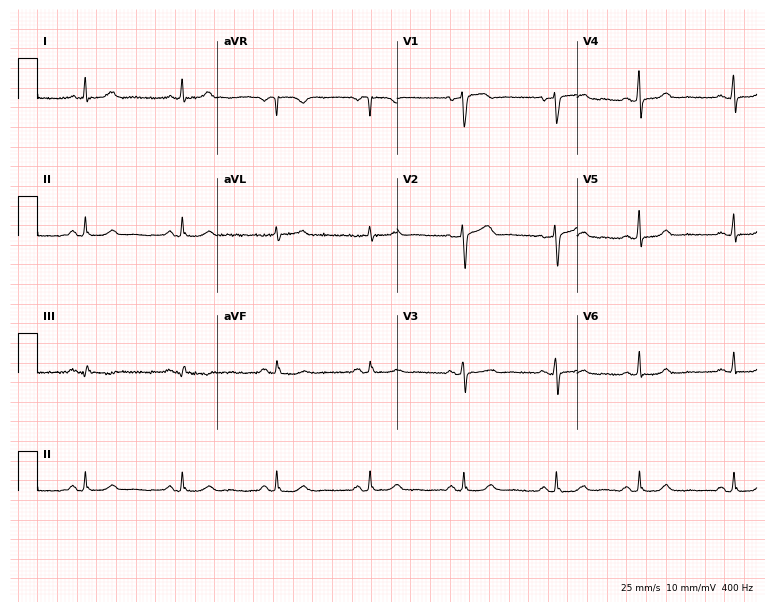
Resting 12-lead electrocardiogram. Patient: a female, 52 years old. None of these six findings is recorded: first-degree AV block, right bundle branch block, left bundle branch block, sinus bradycardia, atrial fibrillation, sinus tachycardia.